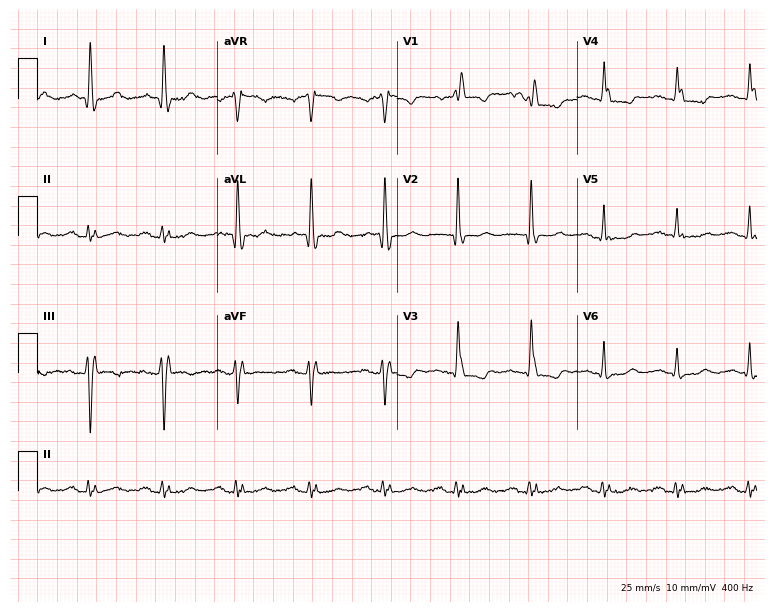
12-lead ECG from a male, 79 years old (7.3-second recording at 400 Hz). Shows right bundle branch block.